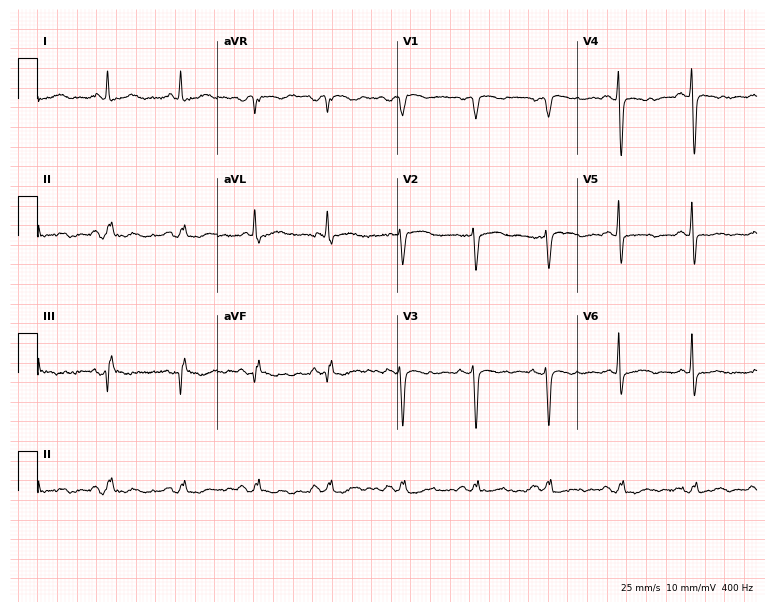
Electrocardiogram (7.3-second recording at 400 Hz), a female patient, 69 years old. Of the six screened findings (first-degree AV block, right bundle branch block (RBBB), left bundle branch block (LBBB), sinus bradycardia, atrial fibrillation (AF), sinus tachycardia), none is recorded.